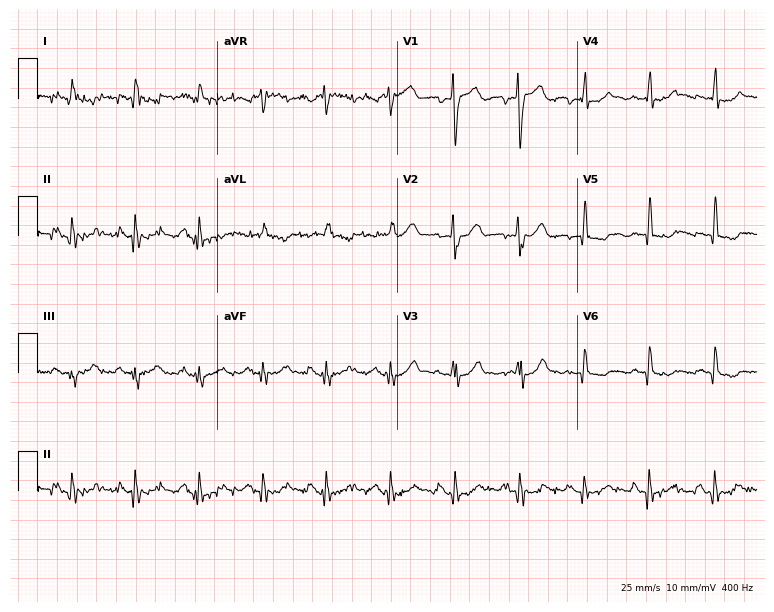
ECG — a man, 73 years old. Screened for six findings — first-degree AV block, right bundle branch block, left bundle branch block, sinus bradycardia, atrial fibrillation, sinus tachycardia — none is recorded.